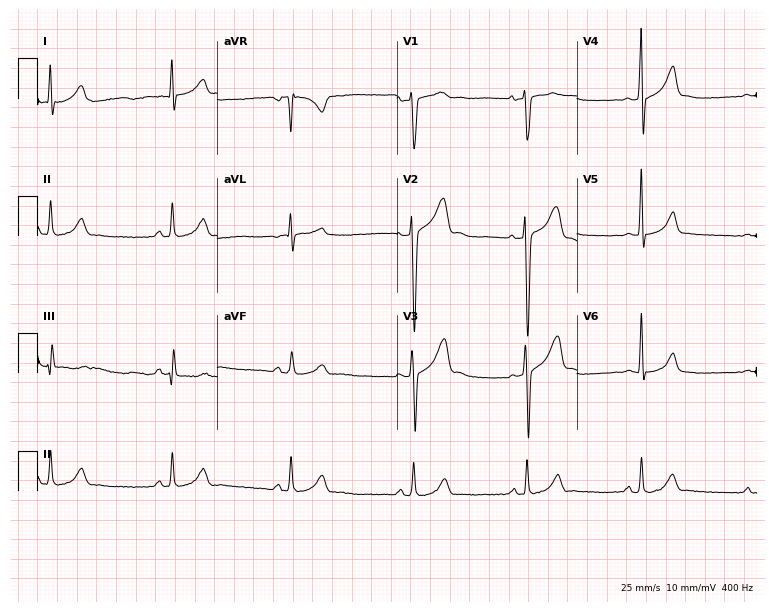
ECG (7.3-second recording at 400 Hz) — a male, 27 years old. Screened for six findings — first-degree AV block, right bundle branch block, left bundle branch block, sinus bradycardia, atrial fibrillation, sinus tachycardia — none is recorded.